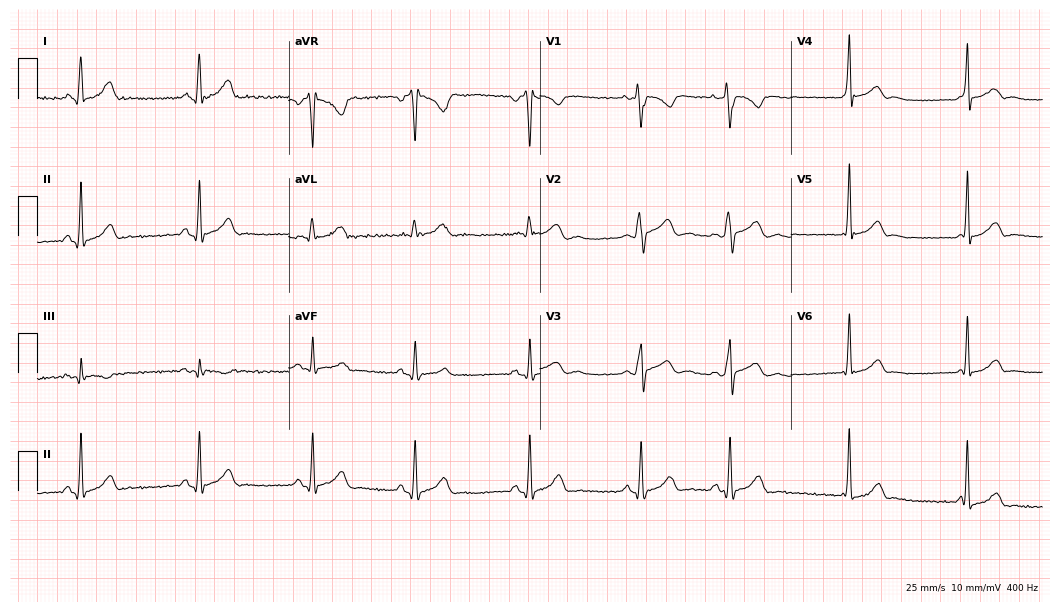
Standard 12-lead ECG recorded from a 27-year-old woman. None of these six findings is recorded: first-degree AV block, right bundle branch block, left bundle branch block, sinus bradycardia, atrial fibrillation, sinus tachycardia.